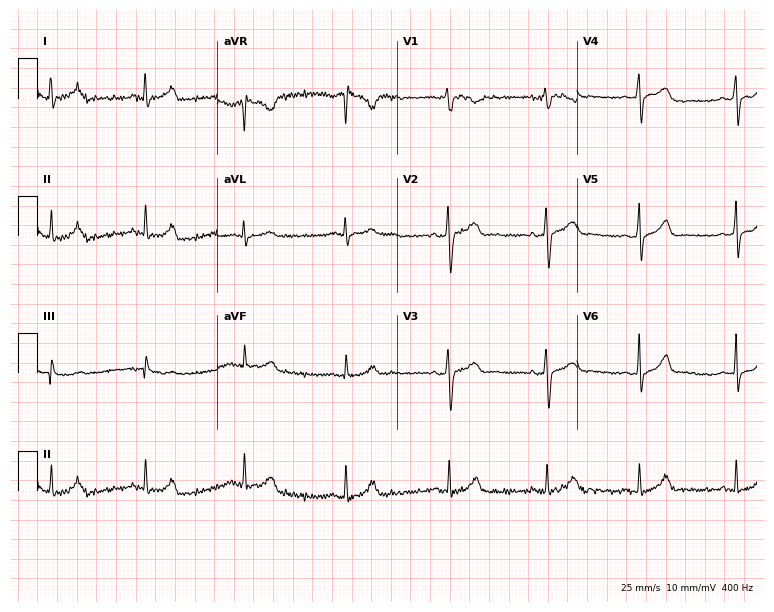
12-lead ECG from a 28-year-old female (7.3-second recording at 400 Hz). Recorded interpretation: within normal limits.